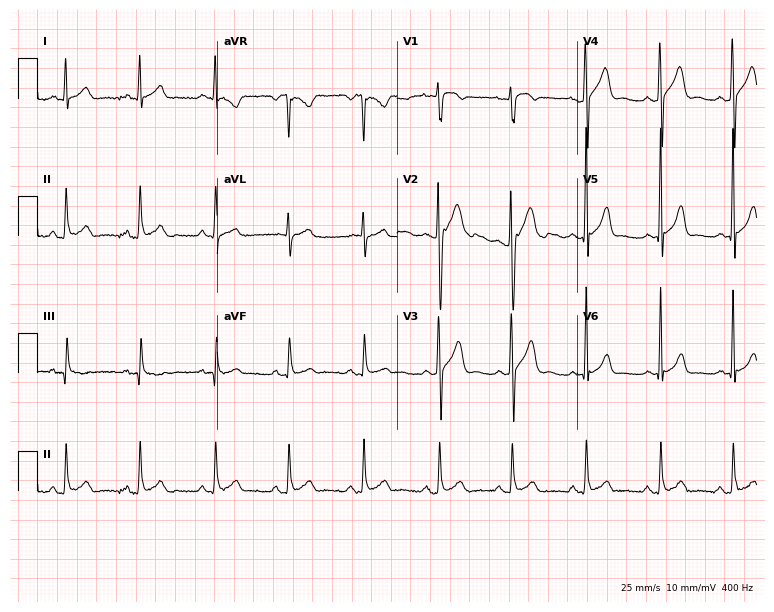
Electrocardiogram, a 27-year-old man. Of the six screened findings (first-degree AV block, right bundle branch block (RBBB), left bundle branch block (LBBB), sinus bradycardia, atrial fibrillation (AF), sinus tachycardia), none is recorded. Other findings, if any, are not listed.